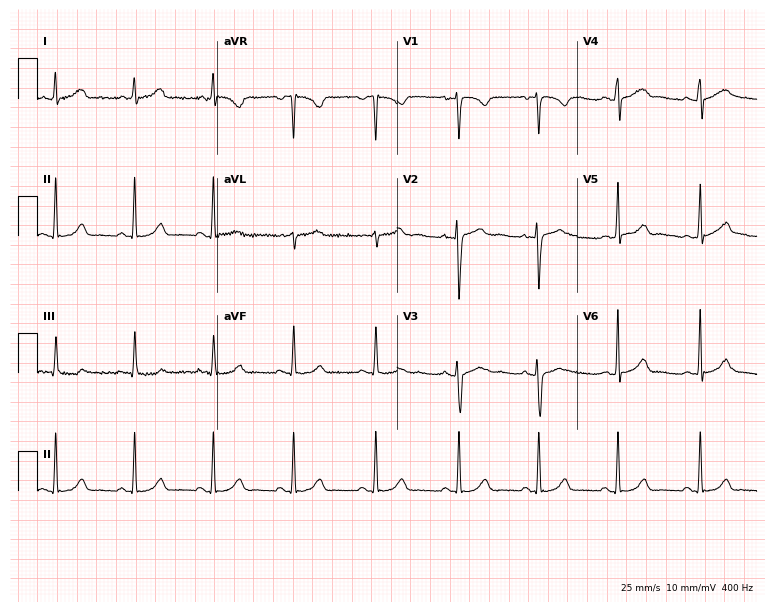
Resting 12-lead electrocardiogram (7.3-second recording at 400 Hz). Patient: a female, 19 years old. Read as a normal ECG.